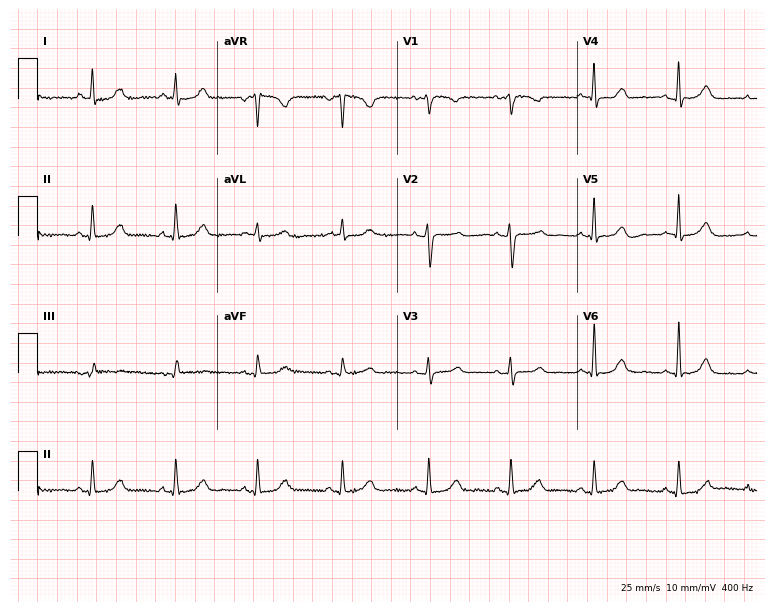
Resting 12-lead electrocardiogram (7.3-second recording at 400 Hz). Patient: a 41-year-old woman. None of these six findings is recorded: first-degree AV block, right bundle branch block, left bundle branch block, sinus bradycardia, atrial fibrillation, sinus tachycardia. Other findings, if any, are not listed.